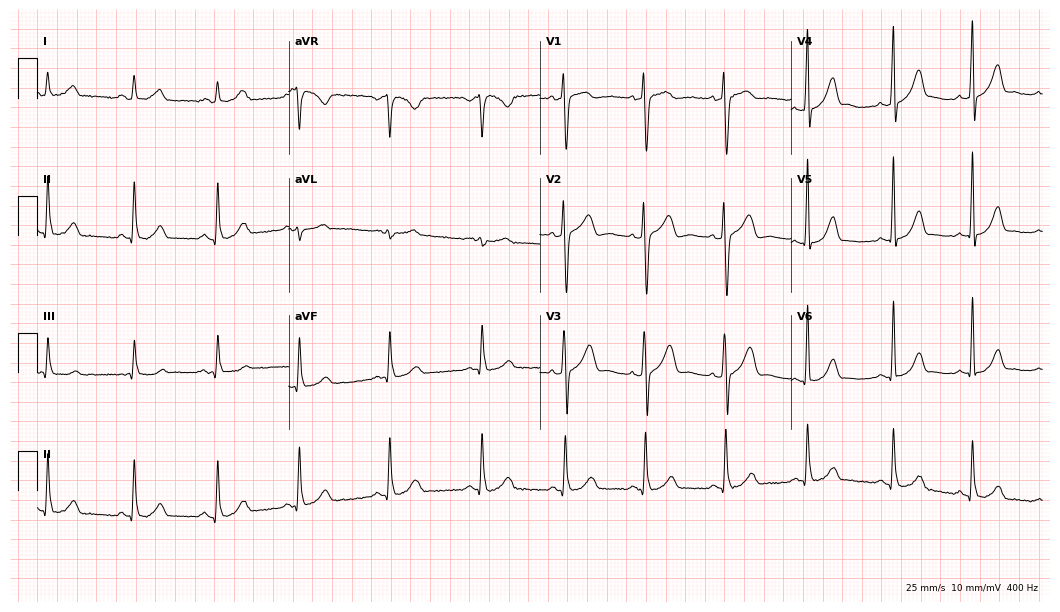
ECG (10.2-second recording at 400 Hz) — a woman, 28 years old. Labelled as a normal ECG.